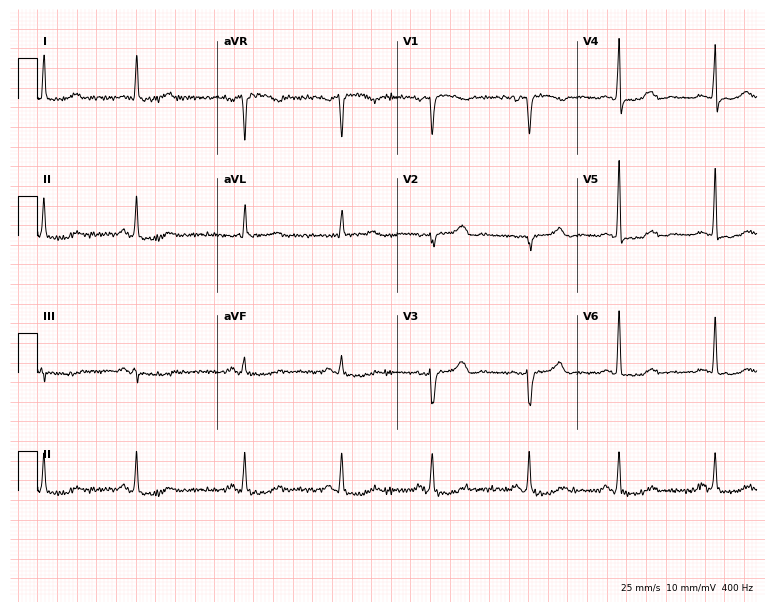
Electrocardiogram (7.3-second recording at 400 Hz), a 50-year-old woman. Of the six screened findings (first-degree AV block, right bundle branch block (RBBB), left bundle branch block (LBBB), sinus bradycardia, atrial fibrillation (AF), sinus tachycardia), none is recorded.